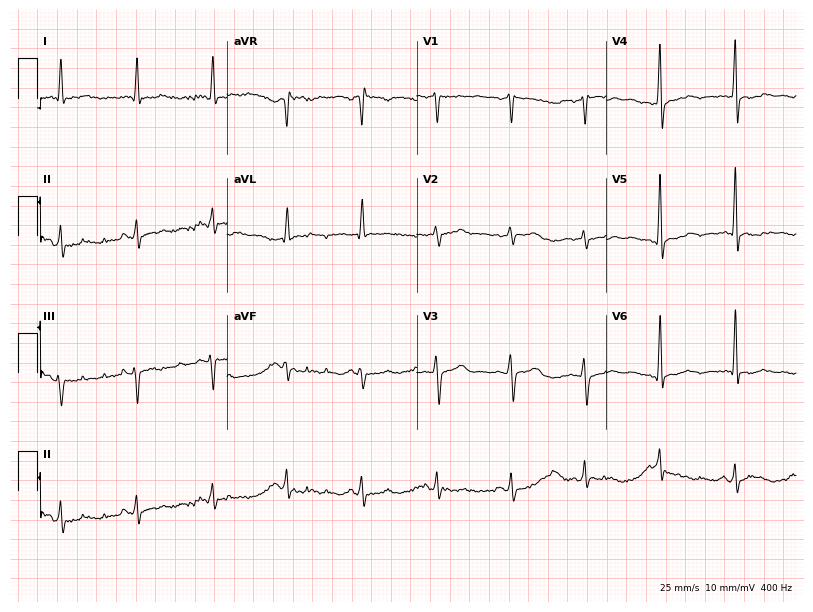
Standard 12-lead ECG recorded from a male patient, 51 years old. None of these six findings is recorded: first-degree AV block, right bundle branch block, left bundle branch block, sinus bradycardia, atrial fibrillation, sinus tachycardia. Other findings, if any, are not listed.